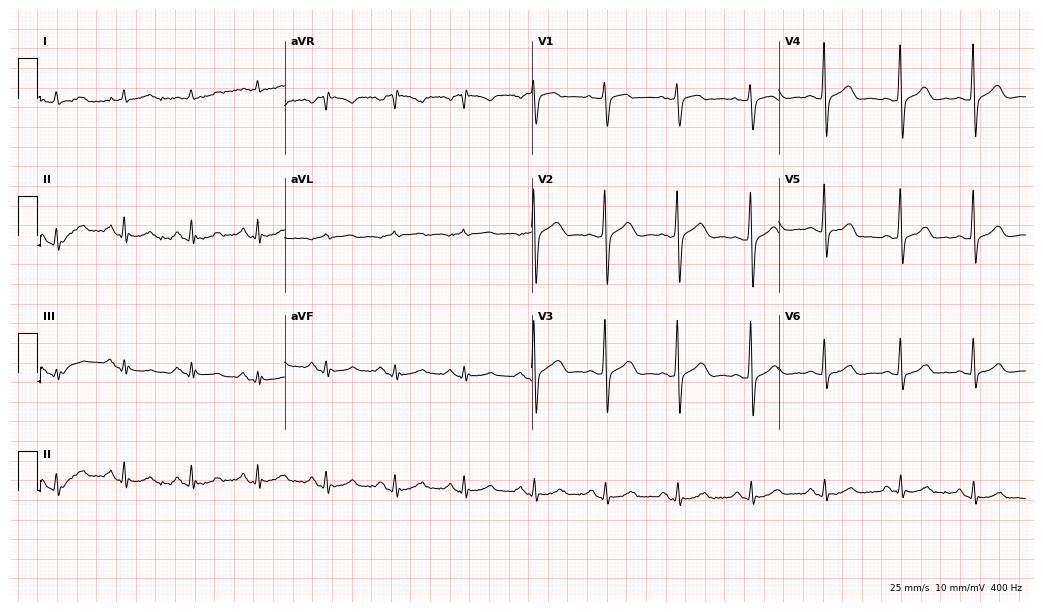
12-lead ECG from a male patient, 70 years old. No first-degree AV block, right bundle branch block, left bundle branch block, sinus bradycardia, atrial fibrillation or sinus tachycardia recorded for this tracing.